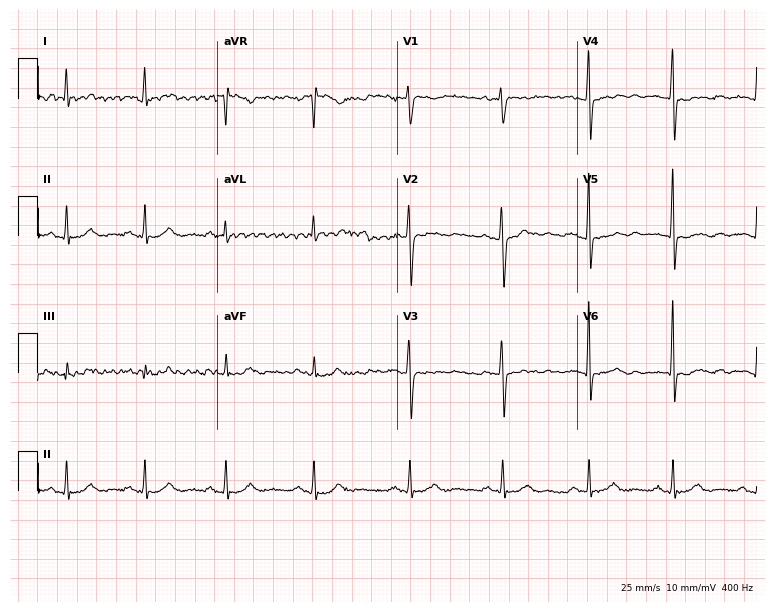
Resting 12-lead electrocardiogram (7.3-second recording at 400 Hz). Patient: a male, 54 years old. Read as a normal ECG.